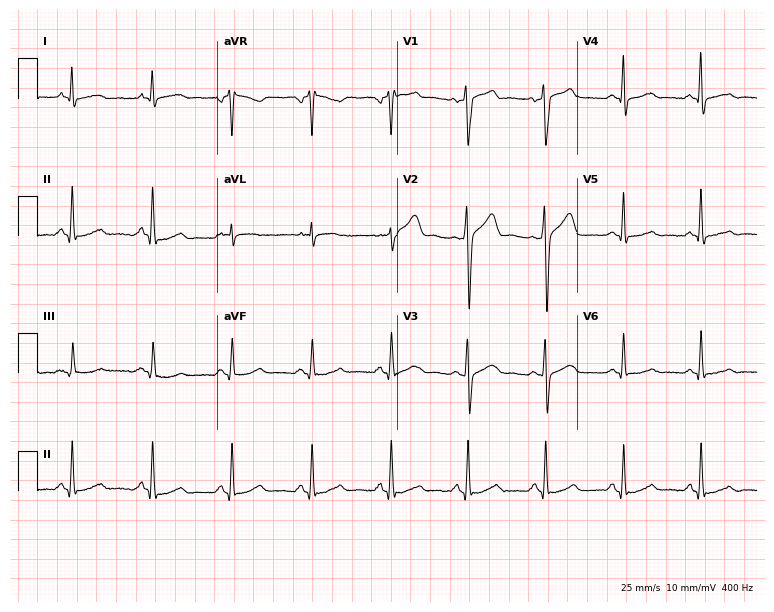
12-lead ECG from a male patient, 49 years old. Recorded interpretation: within normal limits.